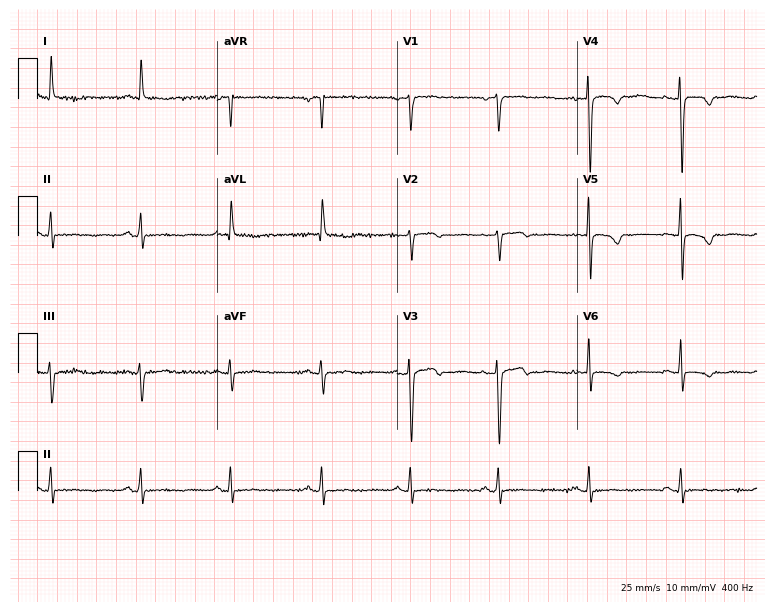
12-lead ECG from a 65-year-old woman (7.3-second recording at 400 Hz). No first-degree AV block, right bundle branch block, left bundle branch block, sinus bradycardia, atrial fibrillation or sinus tachycardia recorded for this tracing.